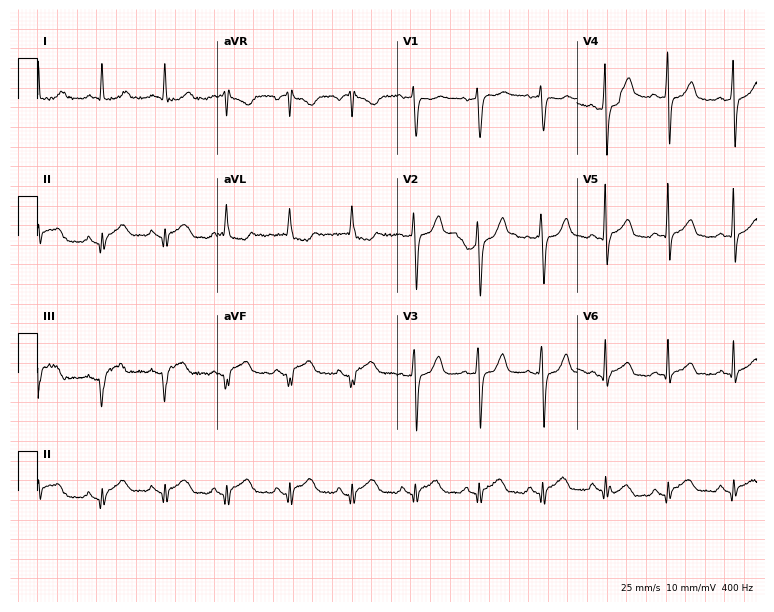
12-lead ECG from a 60-year-old female. Recorded interpretation: within normal limits.